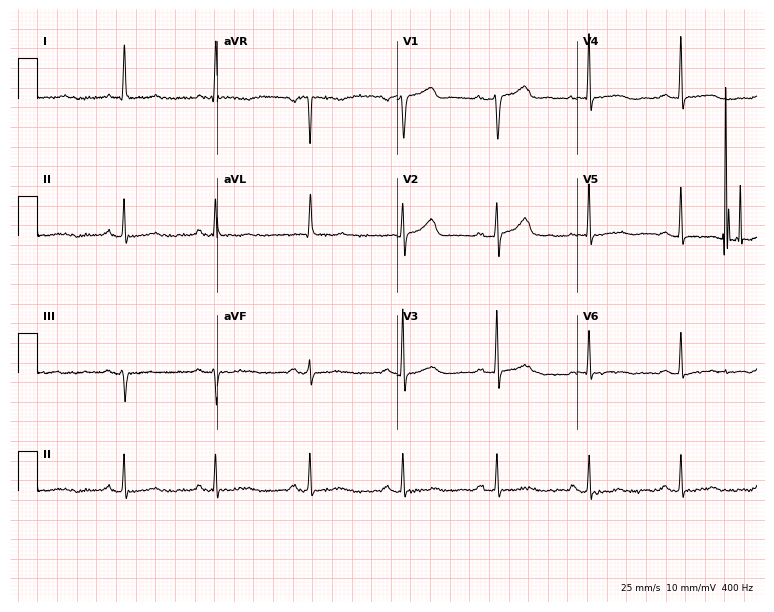
Resting 12-lead electrocardiogram. Patient: a female, 64 years old. None of these six findings is recorded: first-degree AV block, right bundle branch block, left bundle branch block, sinus bradycardia, atrial fibrillation, sinus tachycardia.